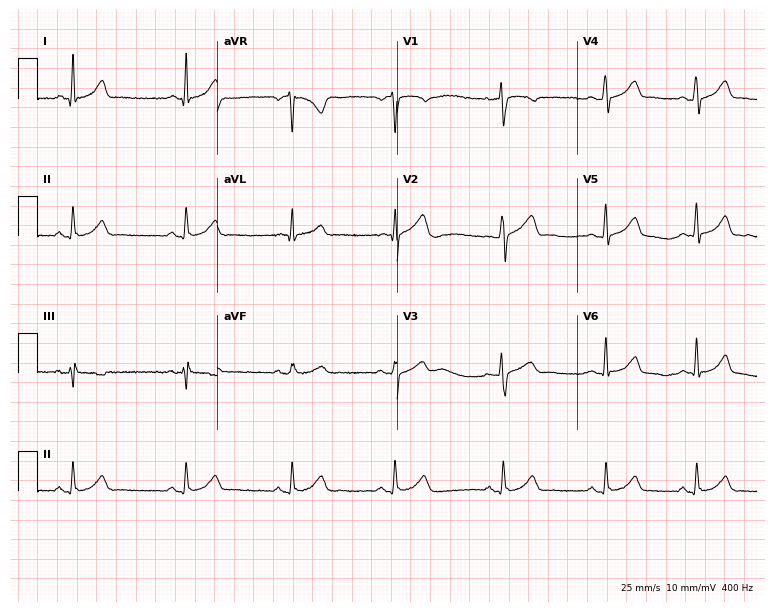
12-lead ECG from a 38-year-old female. Labelled as a normal ECG.